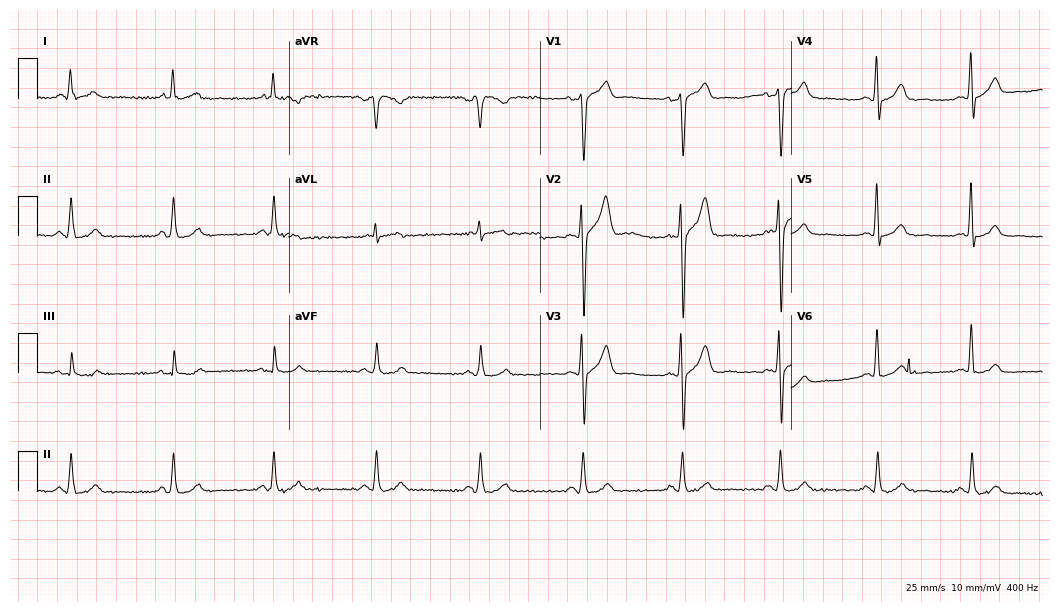
ECG — a 46-year-old man. Labelled as a normal ECG.